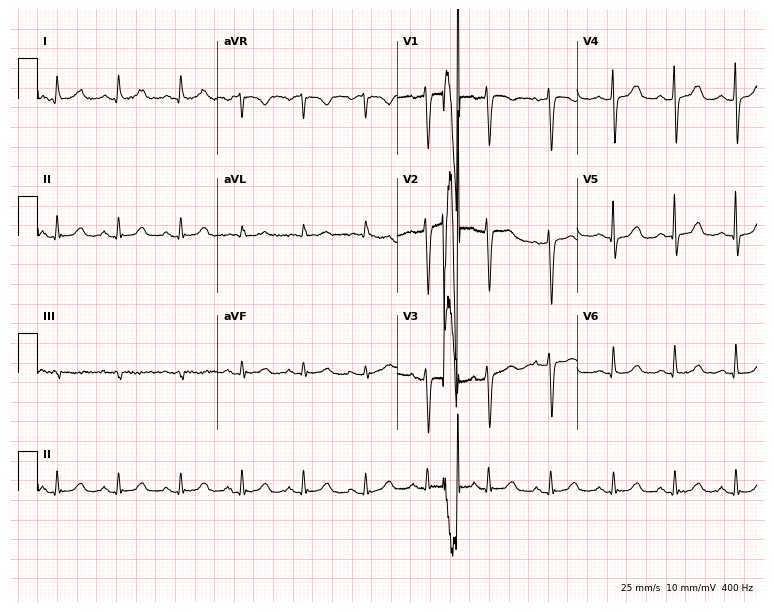
ECG (7.3-second recording at 400 Hz) — a female patient, 70 years old. Labelled as a normal ECG.